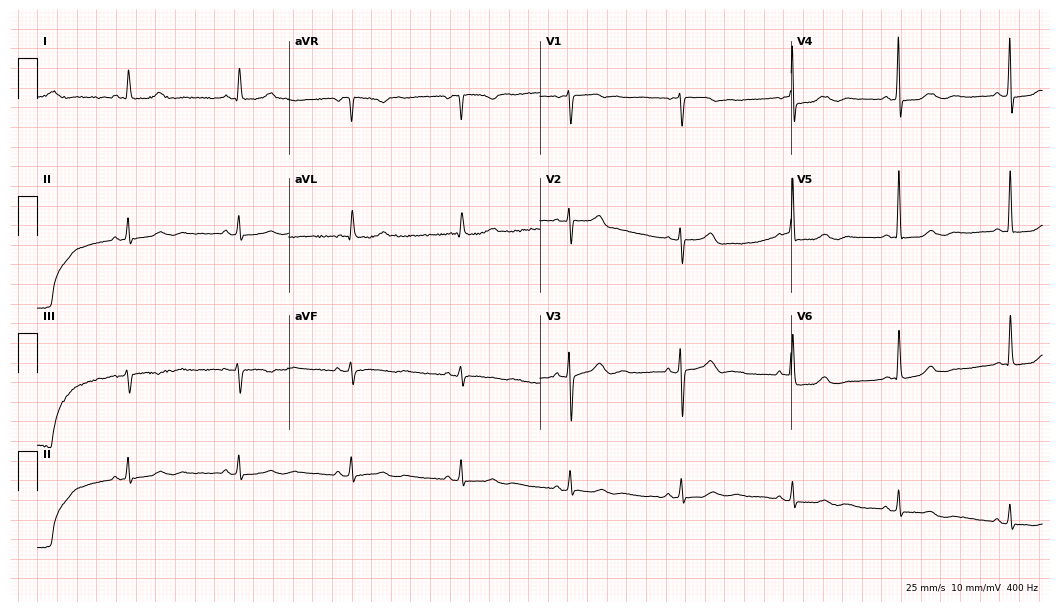
ECG (10.2-second recording at 400 Hz) — a woman, 77 years old. Labelled as a normal ECG.